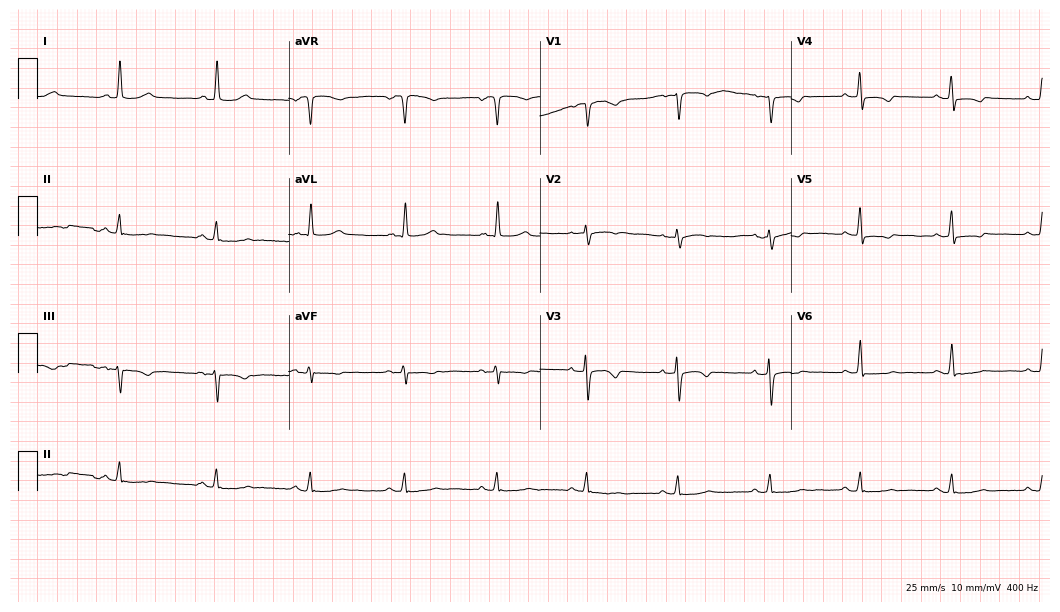
ECG (10.2-second recording at 400 Hz) — a female, 71 years old. Screened for six findings — first-degree AV block, right bundle branch block (RBBB), left bundle branch block (LBBB), sinus bradycardia, atrial fibrillation (AF), sinus tachycardia — none is recorded.